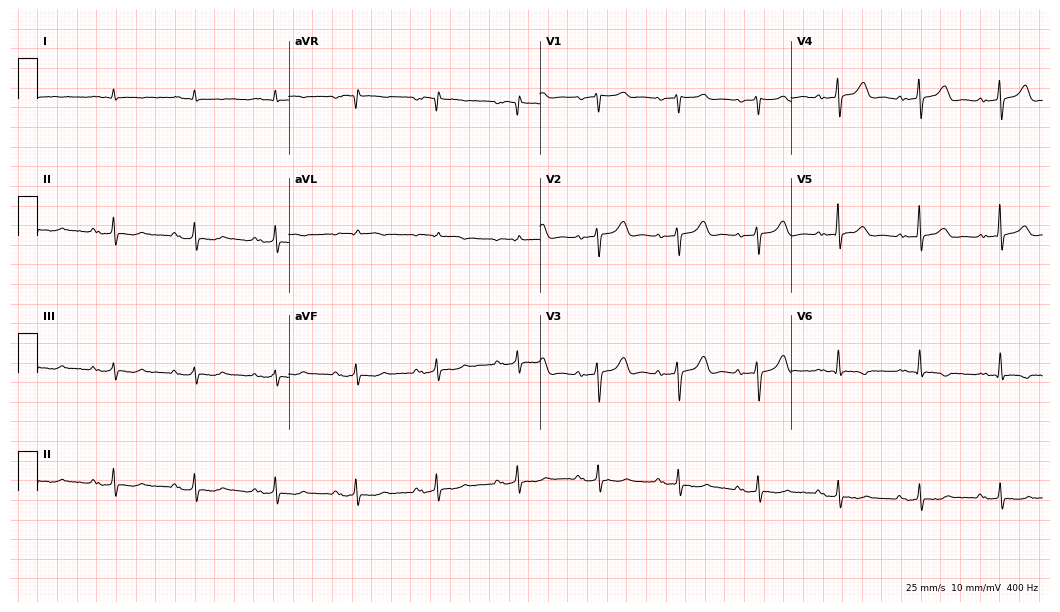
Electrocardiogram, a 75-year-old man. Interpretation includes first-degree AV block.